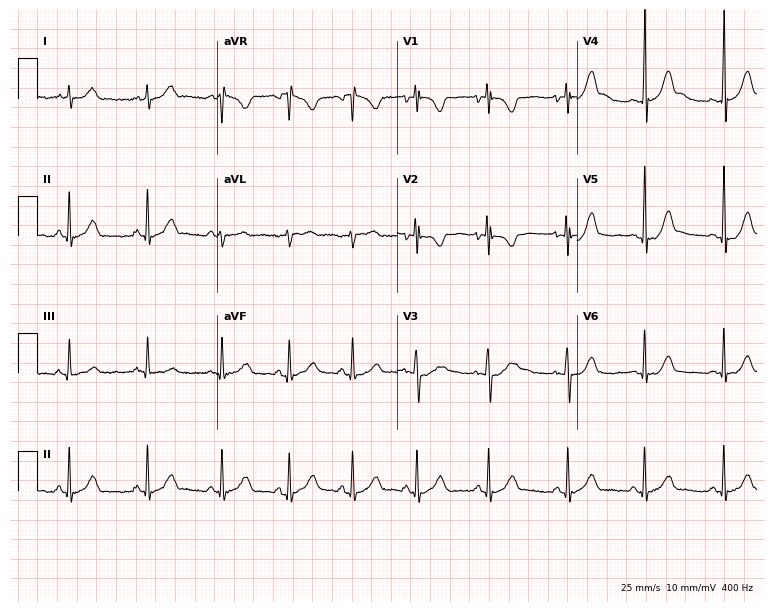
Standard 12-lead ECG recorded from a male, 17 years old. Read as a normal ECG.